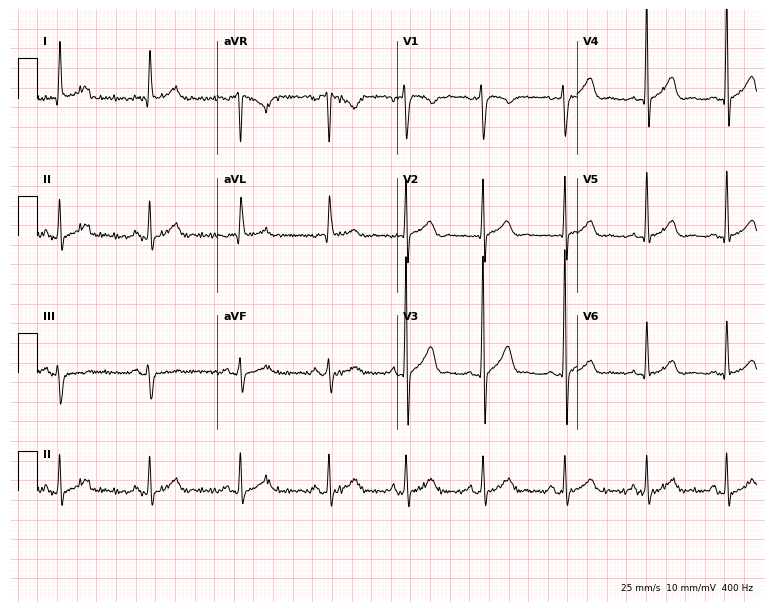
Electrocardiogram, a 26-year-old man. Of the six screened findings (first-degree AV block, right bundle branch block (RBBB), left bundle branch block (LBBB), sinus bradycardia, atrial fibrillation (AF), sinus tachycardia), none is recorded.